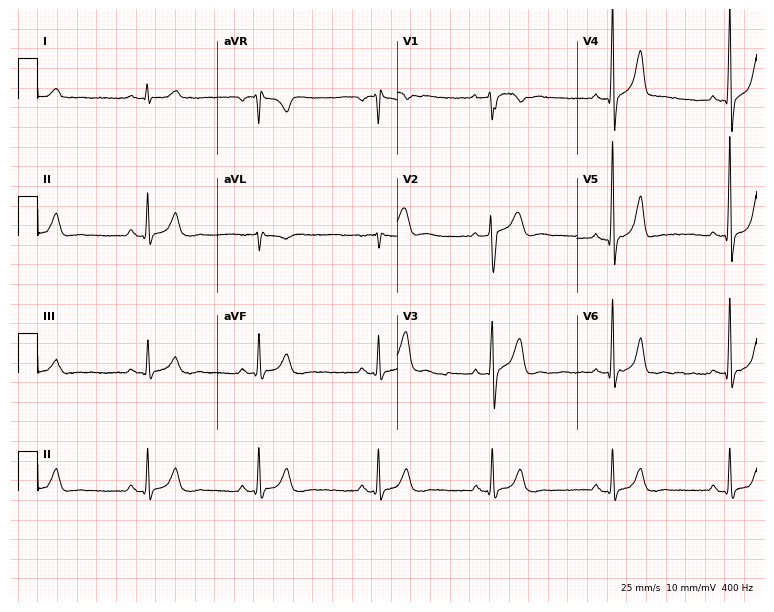
ECG (7.3-second recording at 400 Hz) — a 32-year-old male patient. Findings include sinus bradycardia (a sinus rate of 50 beats per minute or less).